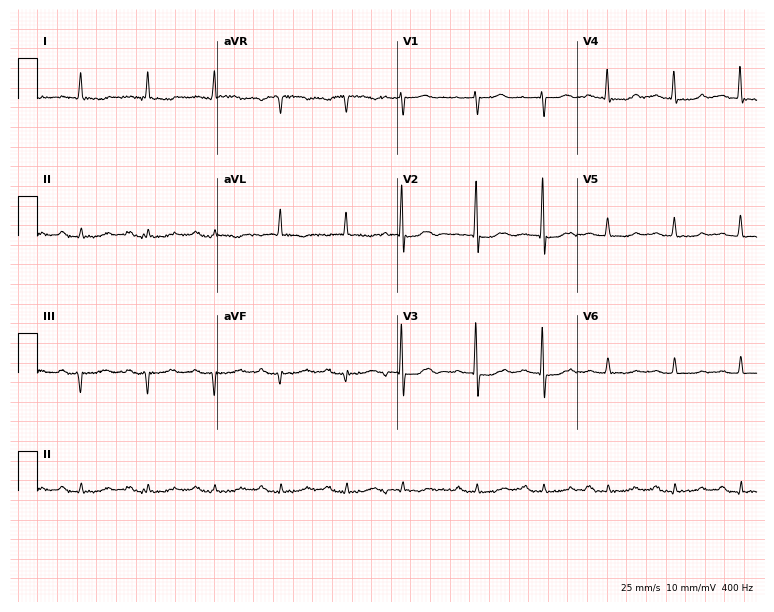
Resting 12-lead electrocardiogram. Patient: a female, 78 years old. None of these six findings is recorded: first-degree AV block, right bundle branch block (RBBB), left bundle branch block (LBBB), sinus bradycardia, atrial fibrillation (AF), sinus tachycardia. Other findings, if any, are not listed.